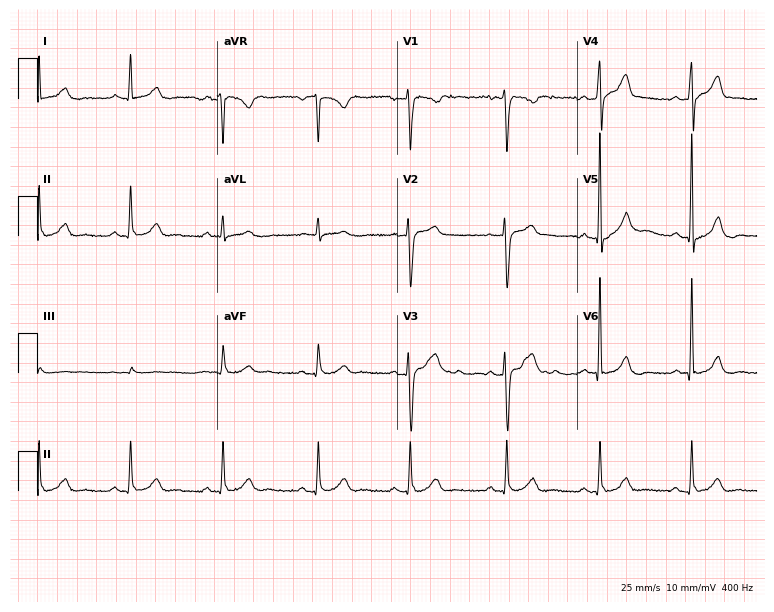
Standard 12-lead ECG recorded from a 45-year-old male. Read as a normal ECG.